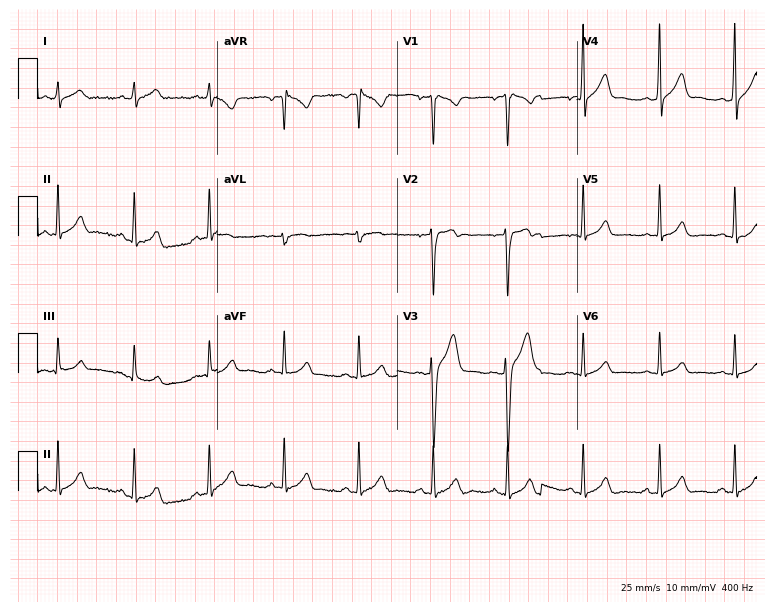
Standard 12-lead ECG recorded from a man, 35 years old (7.3-second recording at 400 Hz). None of these six findings is recorded: first-degree AV block, right bundle branch block, left bundle branch block, sinus bradycardia, atrial fibrillation, sinus tachycardia.